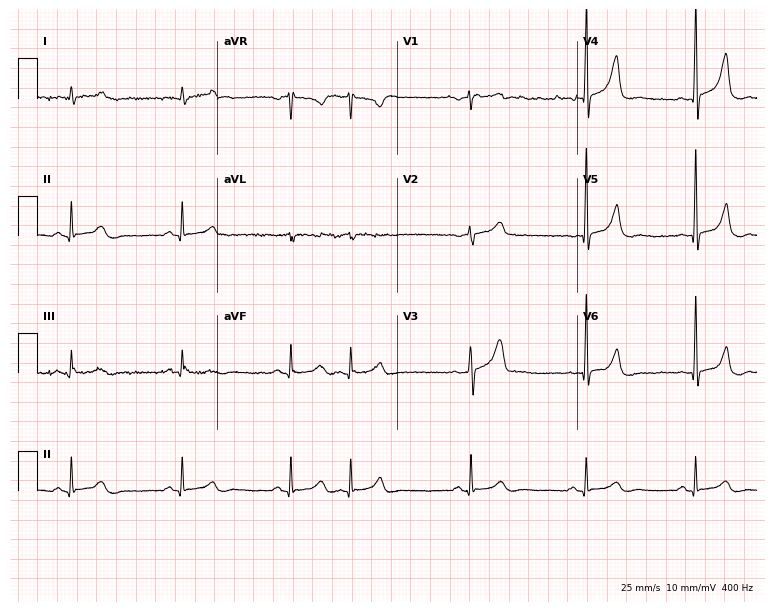
12-lead ECG from a male, 64 years old. No first-degree AV block, right bundle branch block, left bundle branch block, sinus bradycardia, atrial fibrillation or sinus tachycardia recorded for this tracing. Findings outside these six are not listed.